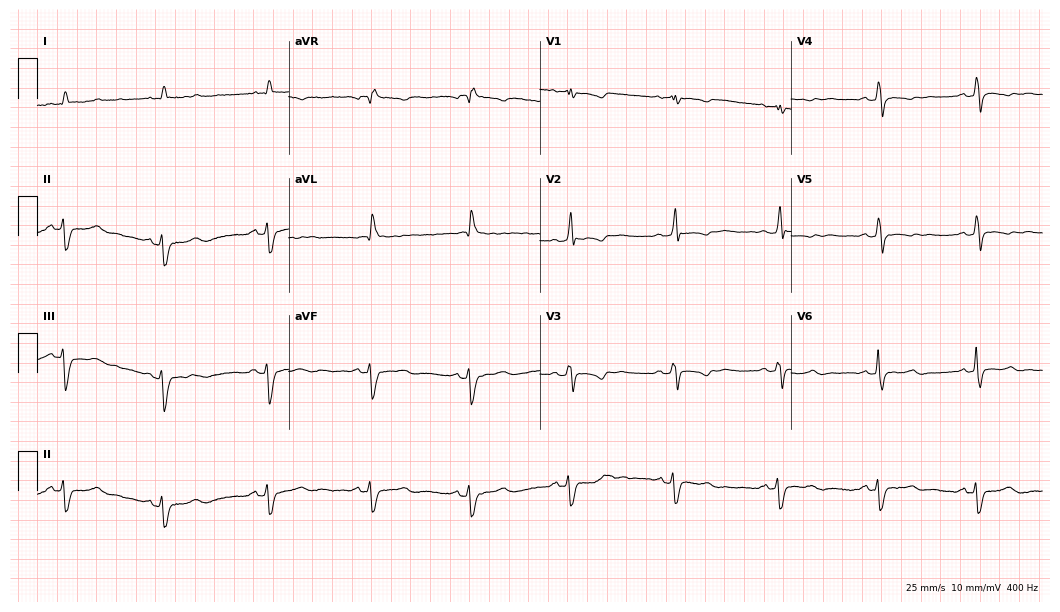
Resting 12-lead electrocardiogram (10.2-second recording at 400 Hz). Patient: a 73-year-old female. None of these six findings is recorded: first-degree AV block, right bundle branch block, left bundle branch block, sinus bradycardia, atrial fibrillation, sinus tachycardia. Other findings, if any, are not listed.